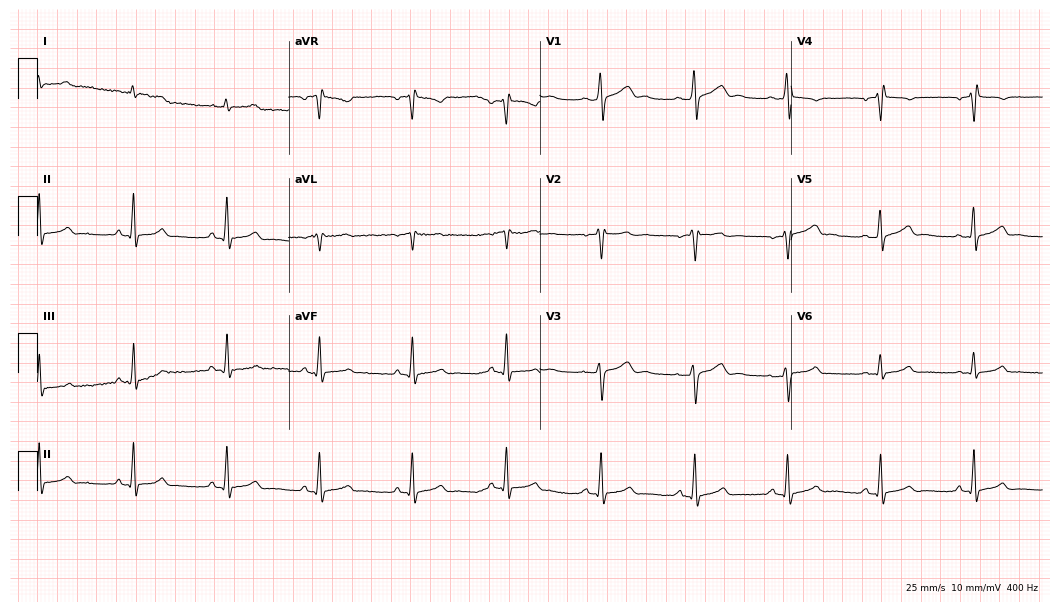
Electrocardiogram (10.2-second recording at 400 Hz), a man, 22 years old. Of the six screened findings (first-degree AV block, right bundle branch block (RBBB), left bundle branch block (LBBB), sinus bradycardia, atrial fibrillation (AF), sinus tachycardia), none is recorded.